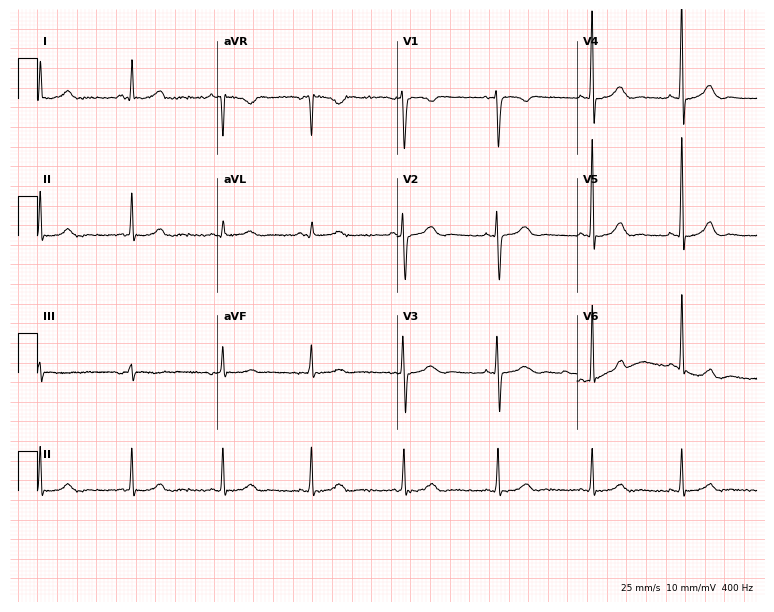
Electrocardiogram, a 41-year-old female. Of the six screened findings (first-degree AV block, right bundle branch block (RBBB), left bundle branch block (LBBB), sinus bradycardia, atrial fibrillation (AF), sinus tachycardia), none is recorded. Only these six findings were labelled.